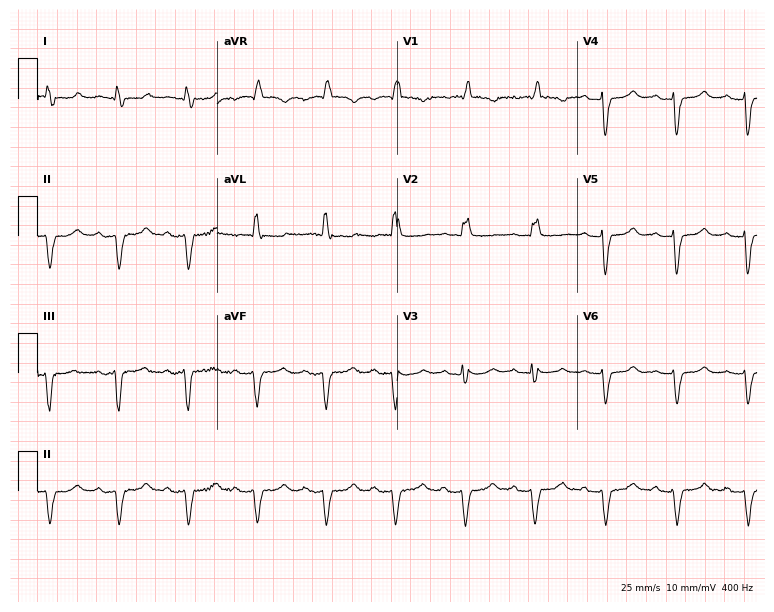
Electrocardiogram, a female, 82 years old. Interpretation includes right bundle branch block (RBBB).